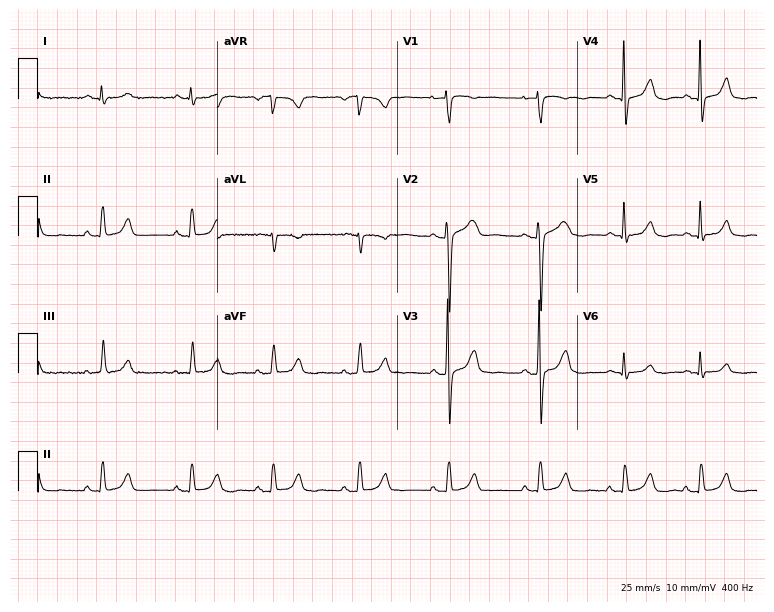
Electrocardiogram, a 29-year-old female. Overall reading on record: normal ECG.